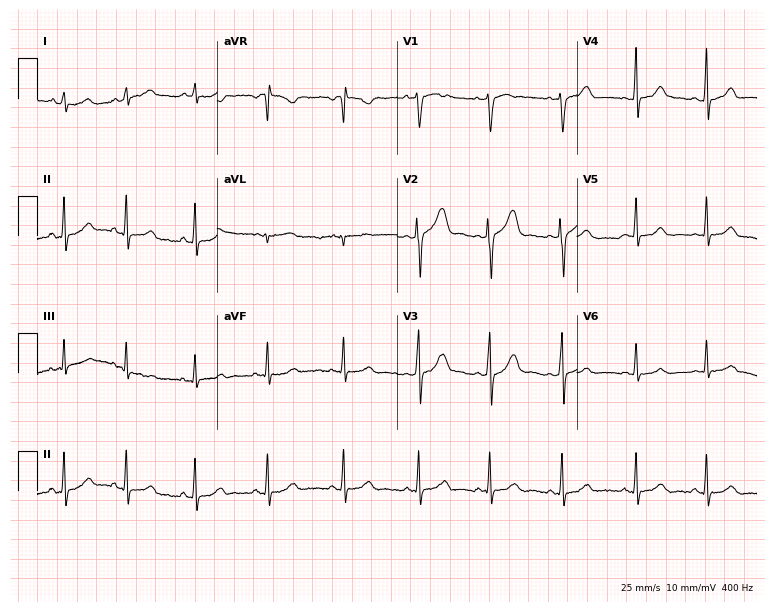
12-lead ECG from a 30-year-old woman. No first-degree AV block, right bundle branch block (RBBB), left bundle branch block (LBBB), sinus bradycardia, atrial fibrillation (AF) or sinus tachycardia recorded for this tracing.